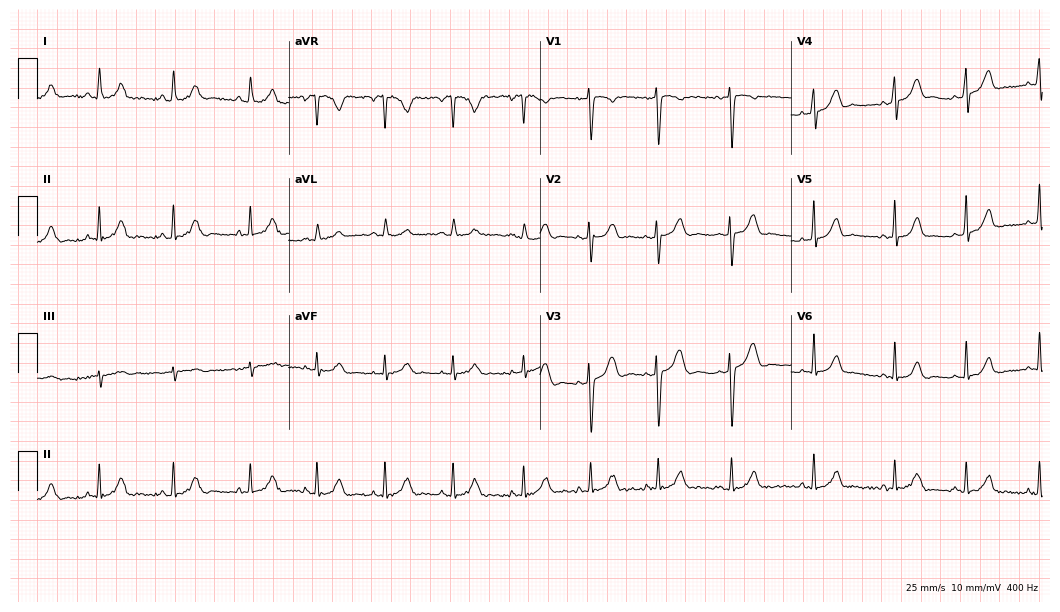
Electrocardiogram, a 21-year-old woman. Overall reading on record: normal ECG.